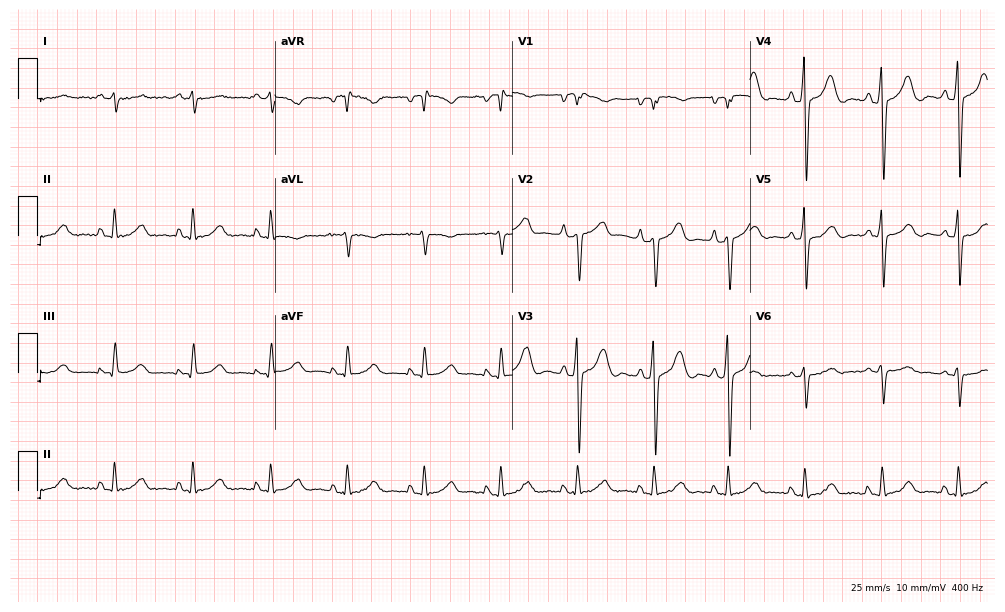
12-lead ECG (9.7-second recording at 400 Hz) from a 61-year-old female. Screened for six findings — first-degree AV block, right bundle branch block, left bundle branch block, sinus bradycardia, atrial fibrillation, sinus tachycardia — none is recorded.